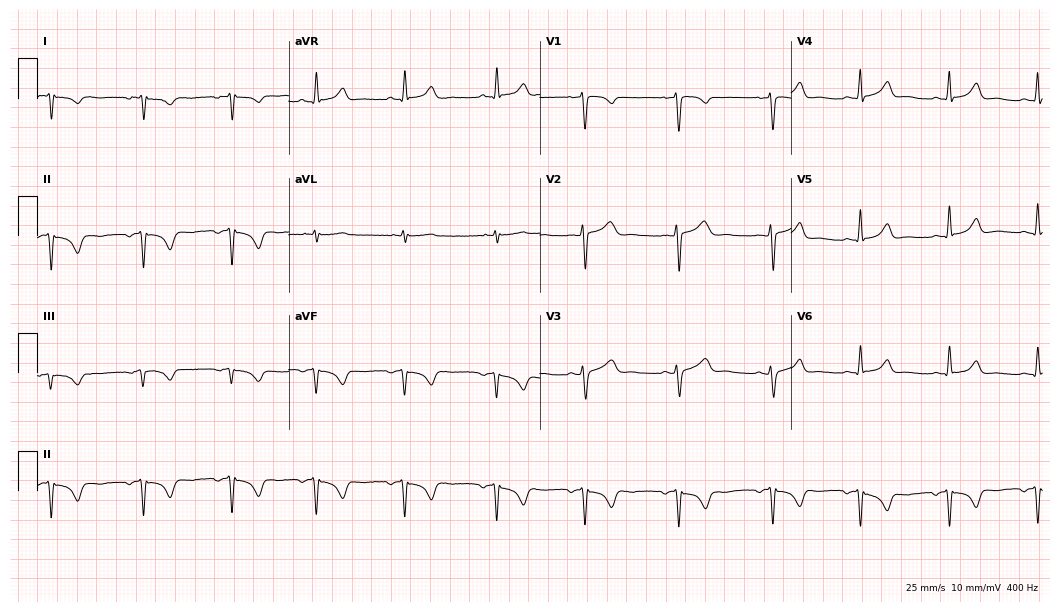
ECG (10.2-second recording at 400 Hz) — a woman, 36 years old. Screened for six findings — first-degree AV block, right bundle branch block, left bundle branch block, sinus bradycardia, atrial fibrillation, sinus tachycardia — none is recorded. Other findings, if any, are not listed.